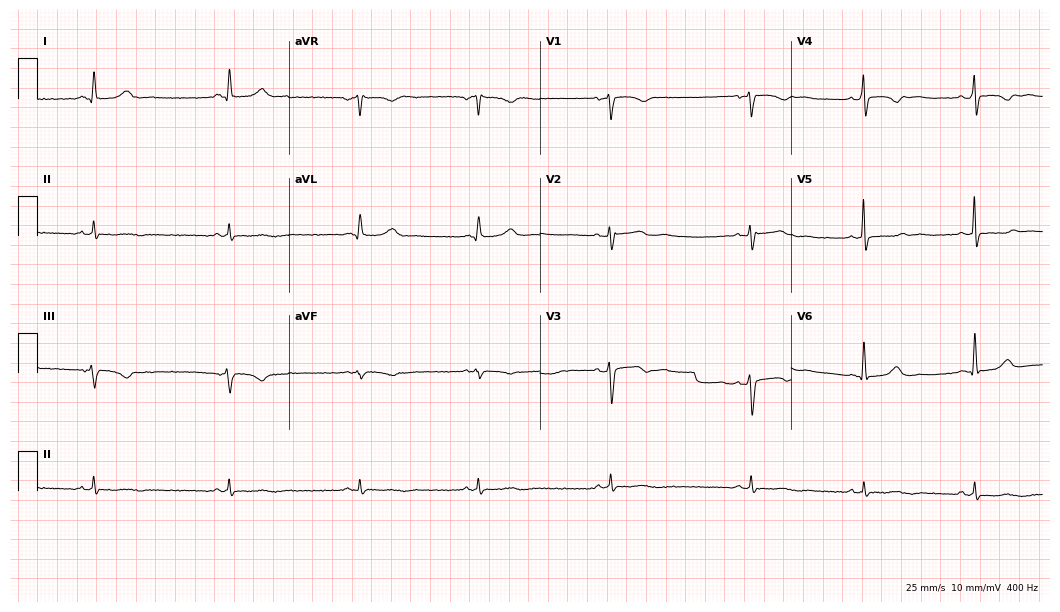
Standard 12-lead ECG recorded from a female patient, 29 years old (10.2-second recording at 400 Hz). The tracing shows sinus bradycardia (a sinus rate of 50 beats per minute or less).